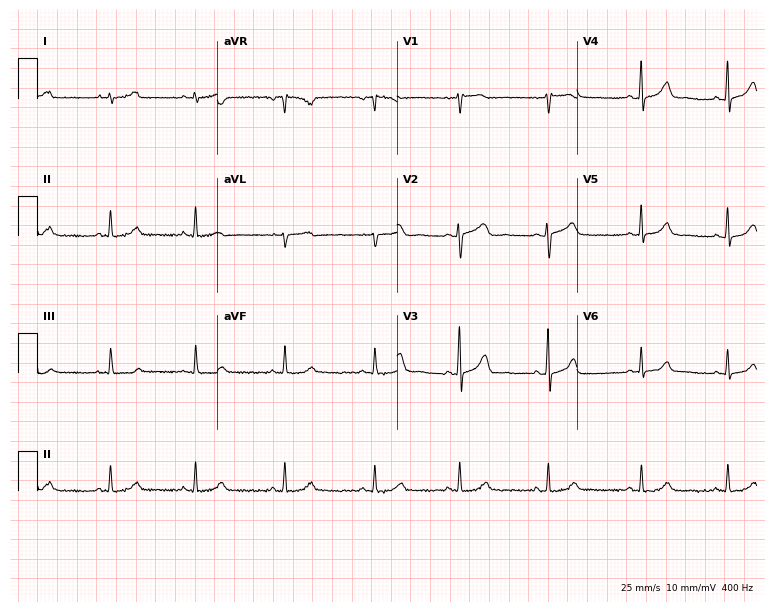
ECG (7.3-second recording at 400 Hz) — a female, 35 years old. Labelled as a normal ECG.